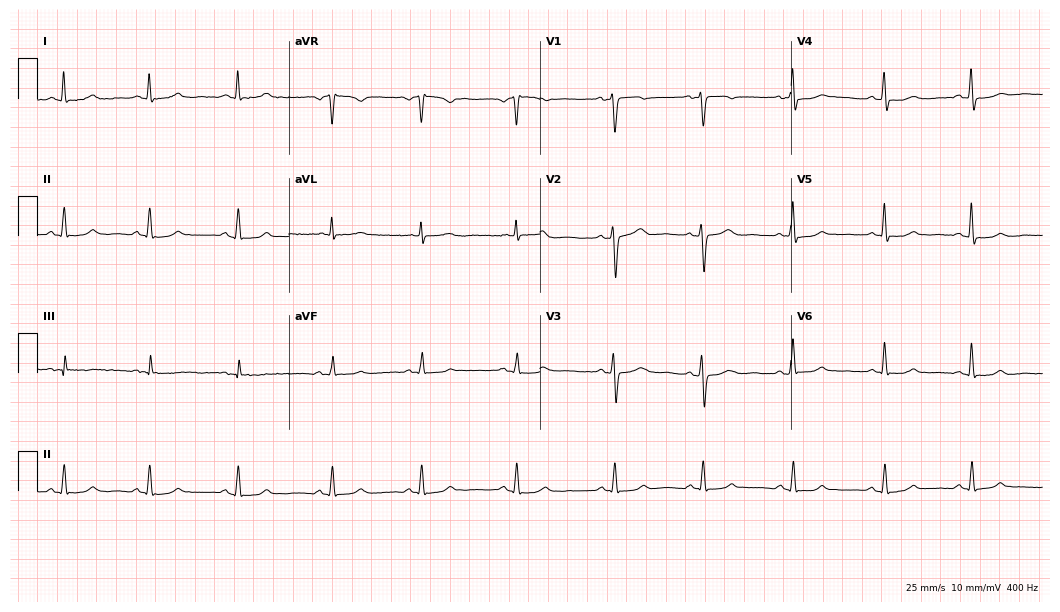
12-lead ECG from a female patient, 41 years old (10.2-second recording at 400 Hz). Recorded interpretation: within normal limits.